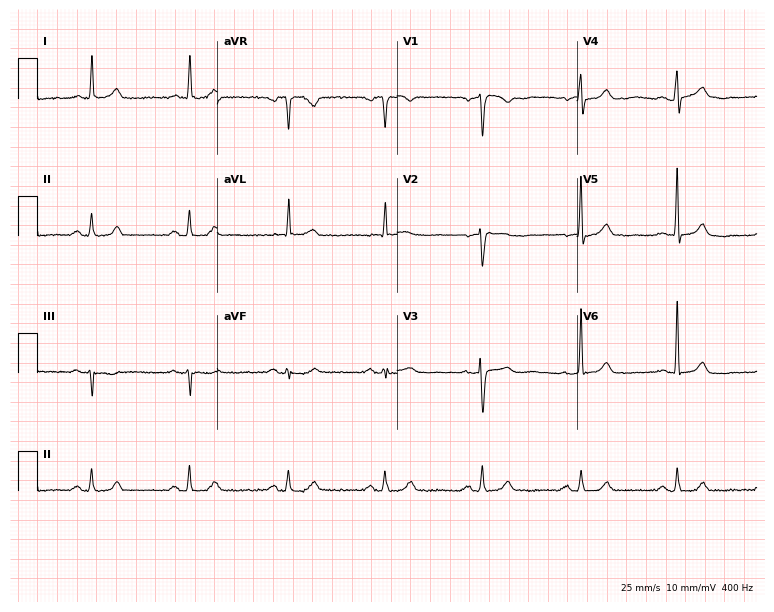
12-lead ECG from a female patient, 81 years old. Screened for six findings — first-degree AV block, right bundle branch block, left bundle branch block, sinus bradycardia, atrial fibrillation, sinus tachycardia — none is recorded.